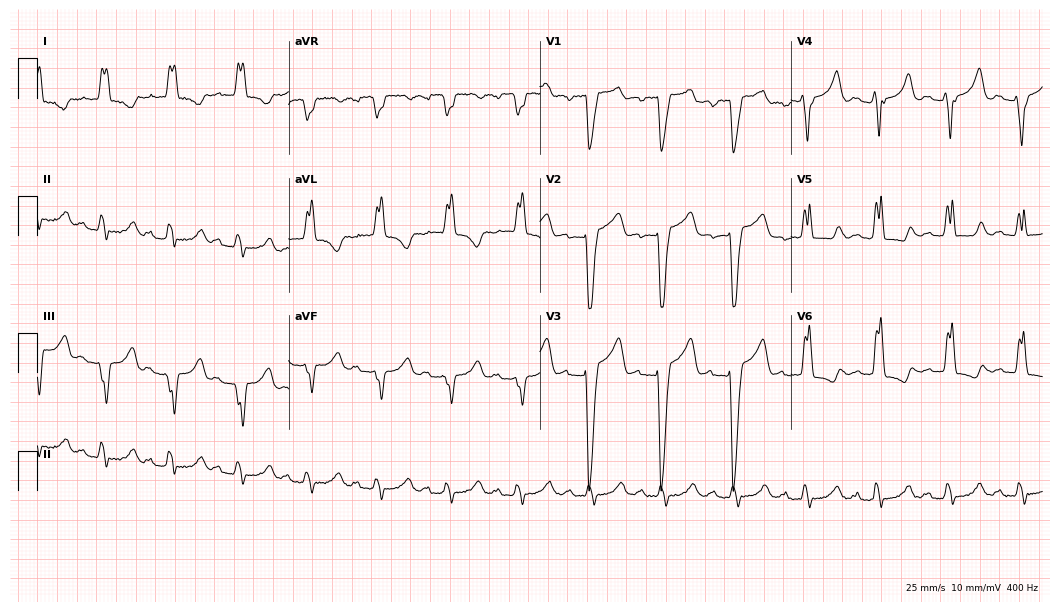
Resting 12-lead electrocardiogram. Patient: a female, 80 years old. The tracing shows first-degree AV block, left bundle branch block (LBBB).